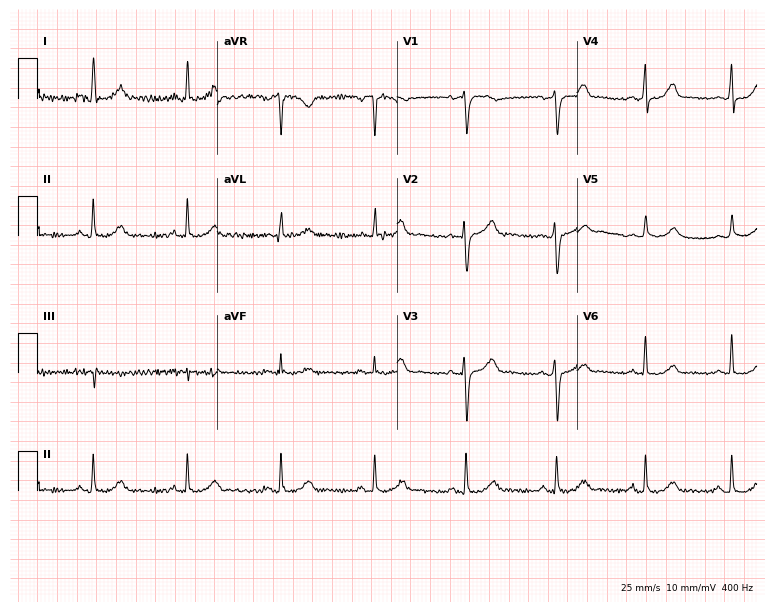
12-lead ECG from a female, 43 years old. Labelled as a normal ECG.